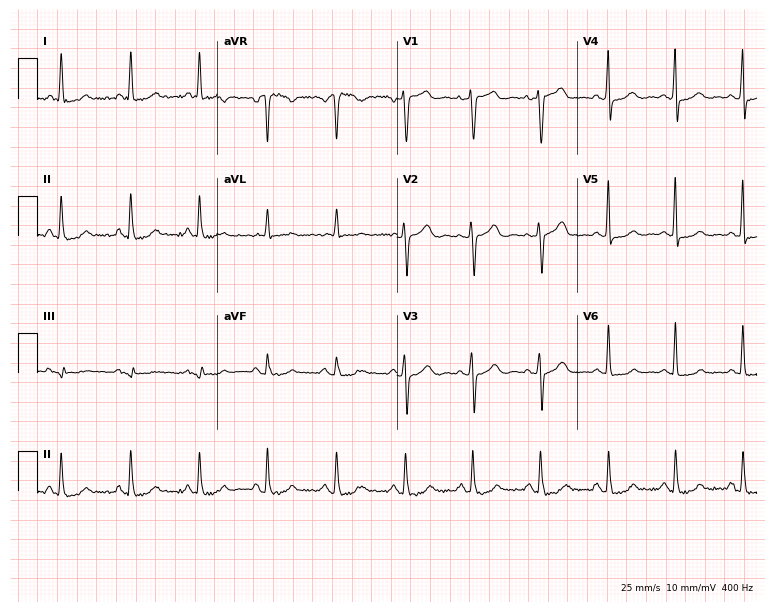
Electrocardiogram, a 67-year-old female patient. Of the six screened findings (first-degree AV block, right bundle branch block (RBBB), left bundle branch block (LBBB), sinus bradycardia, atrial fibrillation (AF), sinus tachycardia), none is recorded. Findings outside these six are not listed.